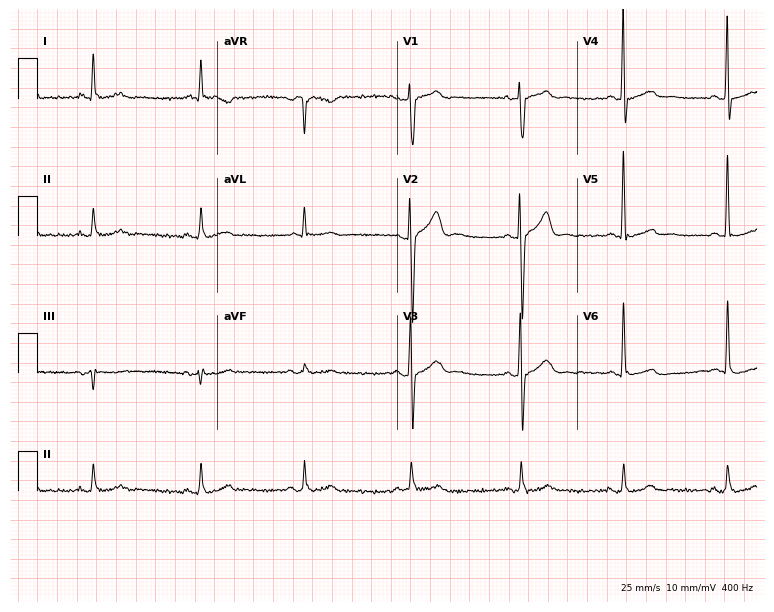
12-lead ECG (7.3-second recording at 400 Hz) from a 39-year-old male patient. Labelled as a normal ECG.